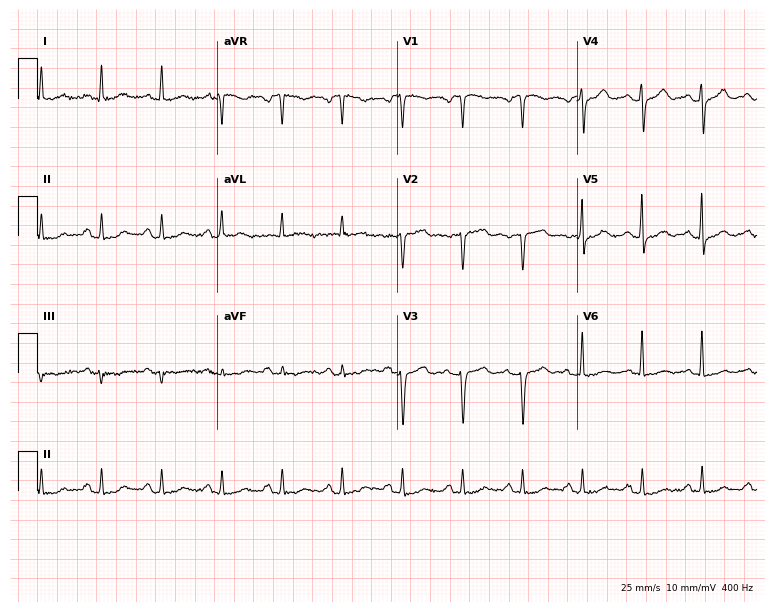
ECG (7.3-second recording at 400 Hz) — a 59-year-old female. Screened for six findings — first-degree AV block, right bundle branch block, left bundle branch block, sinus bradycardia, atrial fibrillation, sinus tachycardia — none is recorded. Only these six findings were labelled.